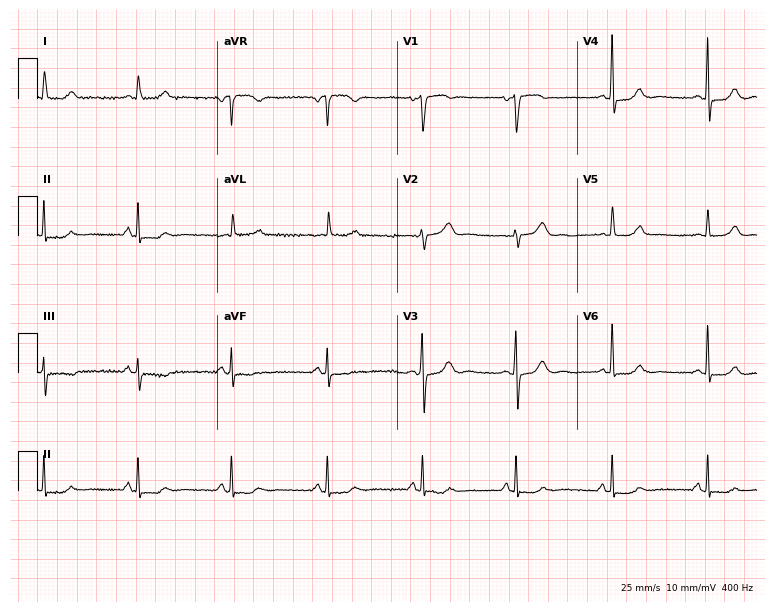
12-lead ECG from a woman, 73 years old. Screened for six findings — first-degree AV block, right bundle branch block, left bundle branch block, sinus bradycardia, atrial fibrillation, sinus tachycardia — none is recorded.